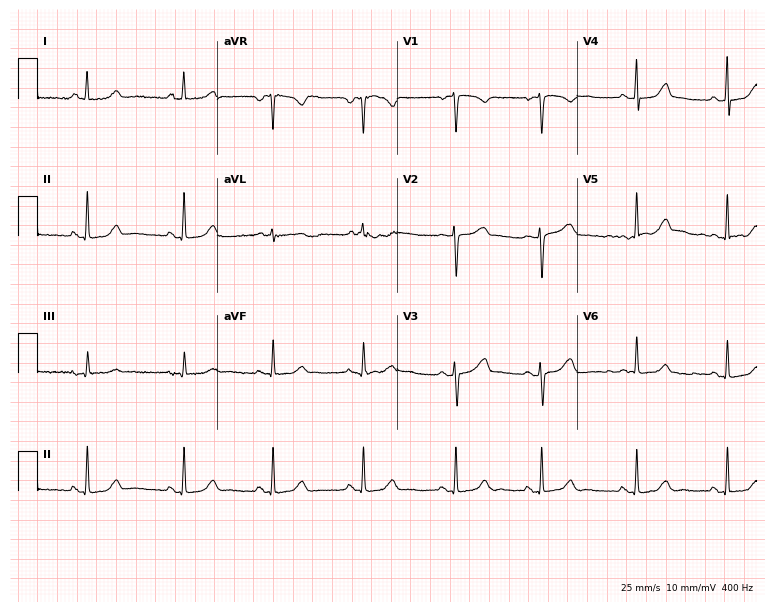
12-lead ECG from a 37-year-old female patient. Recorded interpretation: within normal limits.